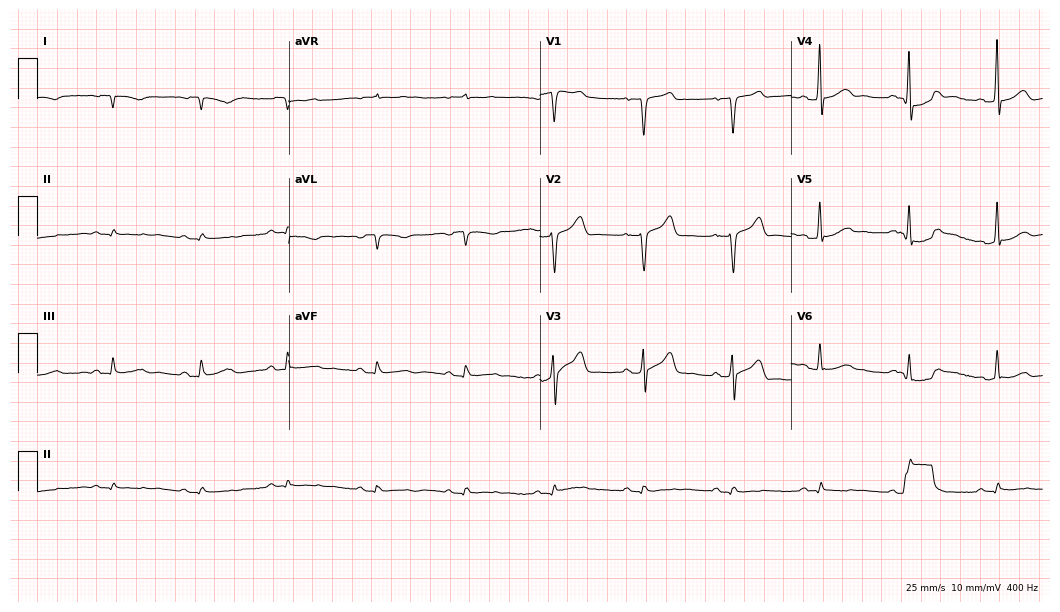
Standard 12-lead ECG recorded from a male patient, 71 years old (10.2-second recording at 400 Hz). None of these six findings is recorded: first-degree AV block, right bundle branch block (RBBB), left bundle branch block (LBBB), sinus bradycardia, atrial fibrillation (AF), sinus tachycardia. Other findings, if any, are not listed.